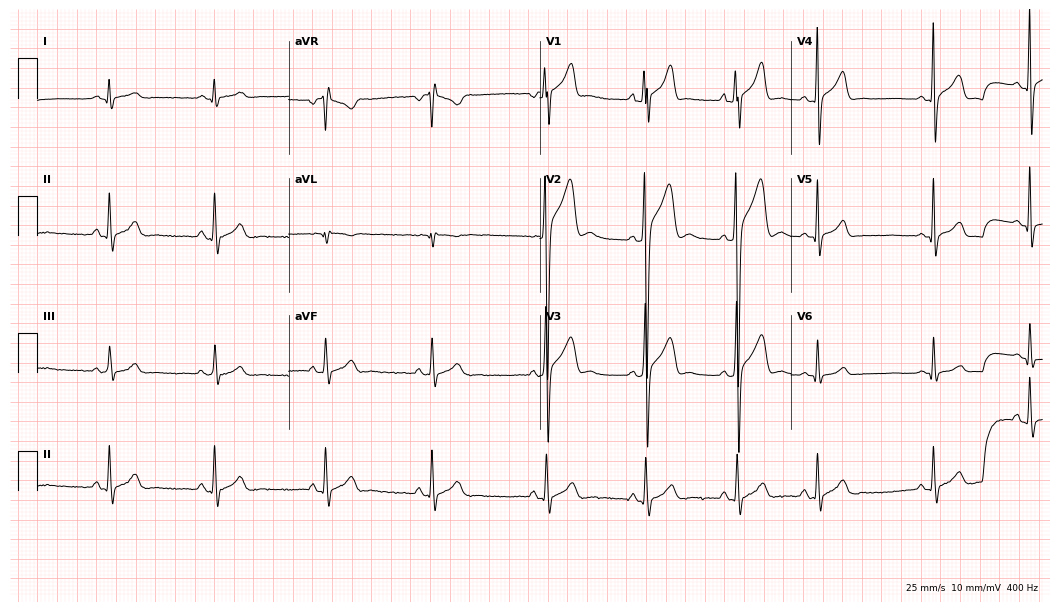
12-lead ECG (10.2-second recording at 400 Hz) from a 21-year-old man. Labelled as a normal ECG.